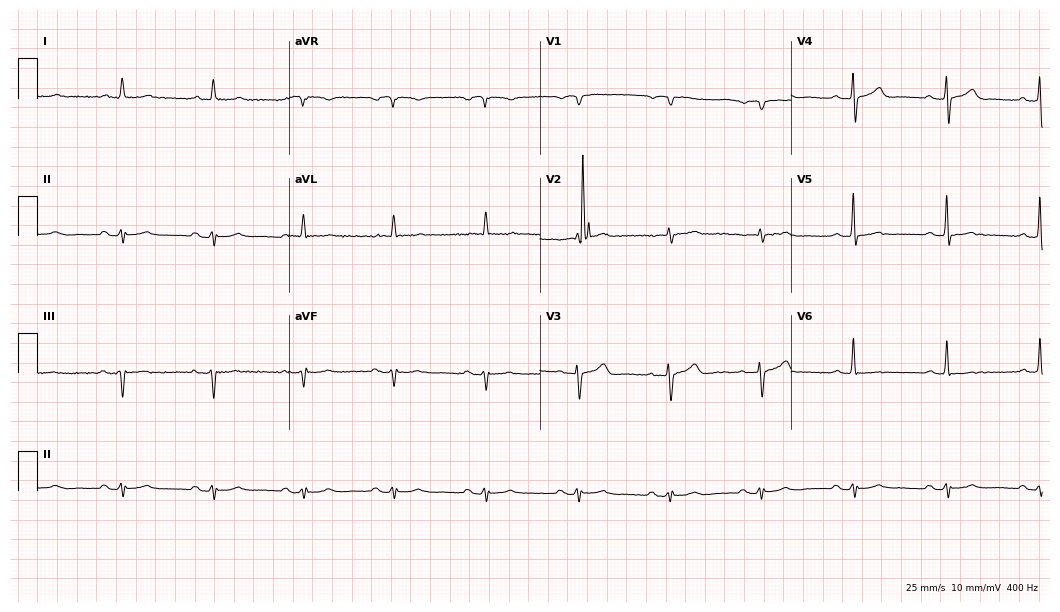
ECG (10.2-second recording at 400 Hz) — a 67-year-old woman. Screened for six findings — first-degree AV block, right bundle branch block, left bundle branch block, sinus bradycardia, atrial fibrillation, sinus tachycardia — none is recorded. Findings outside these six are not listed.